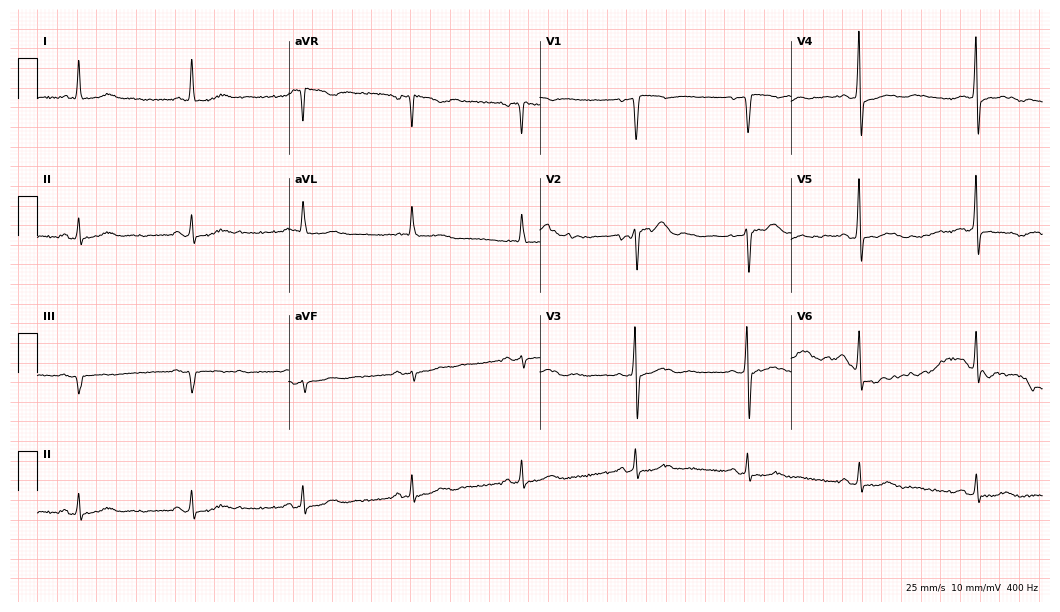
12-lead ECG from a 61-year-old male patient (10.2-second recording at 400 Hz). No first-degree AV block, right bundle branch block (RBBB), left bundle branch block (LBBB), sinus bradycardia, atrial fibrillation (AF) or sinus tachycardia recorded for this tracing. Other findings, if any, are not listed.